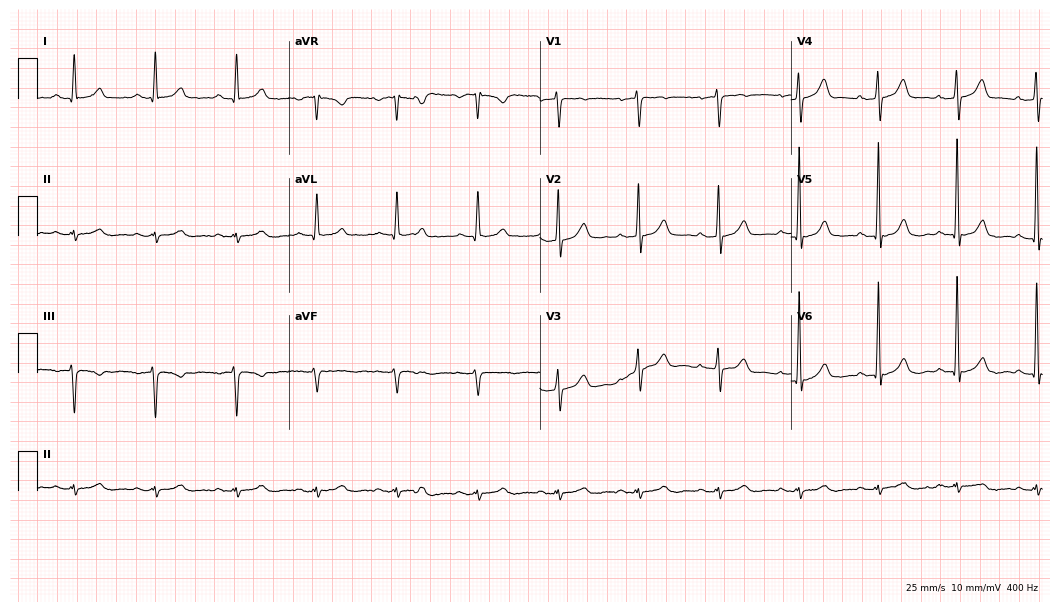
ECG — a 58-year-old male. Screened for six findings — first-degree AV block, right bundle branch block (RBBB), left bundle branch block (LBBB), sinus bradycardia, atrial fibrillation (AF), sinus tachycardia — none is recorded.